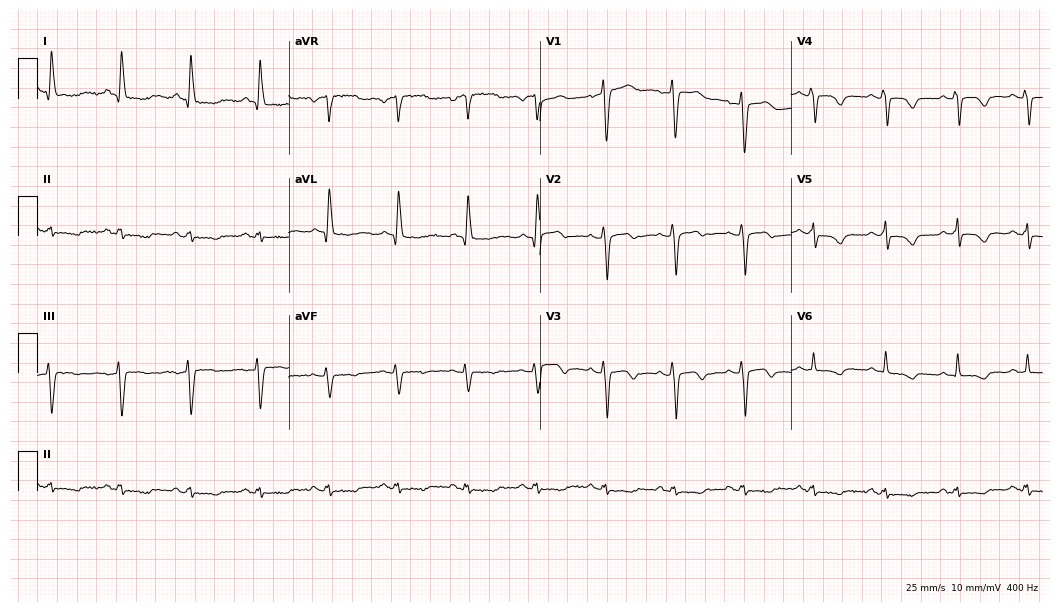
12-lead ECG from a 59-year-old female. Screened for six findings — first-degree AV block, right bundle branch block, left bundle branch block, sinus bradycardia, atrial fibrillation, sinus tachycardia — none is recorded.